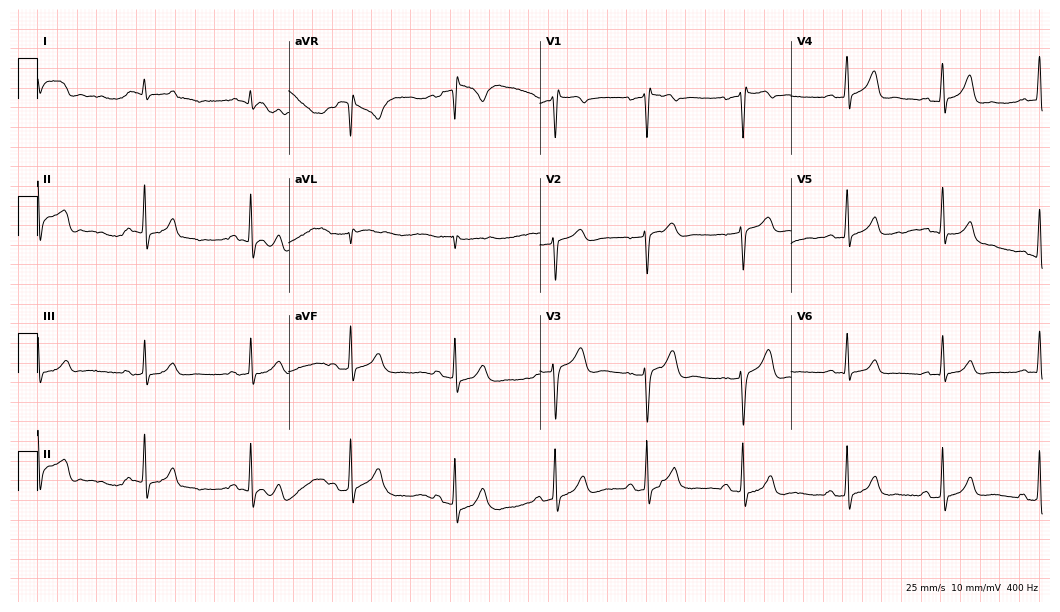
12-lead ECG from a male, 29 years old. No first-degree AV block, right bundle branch block, left bundle branch block, sinus bradycardia, atrial fibrillation or sinus tachycardia recorded for this tracing.